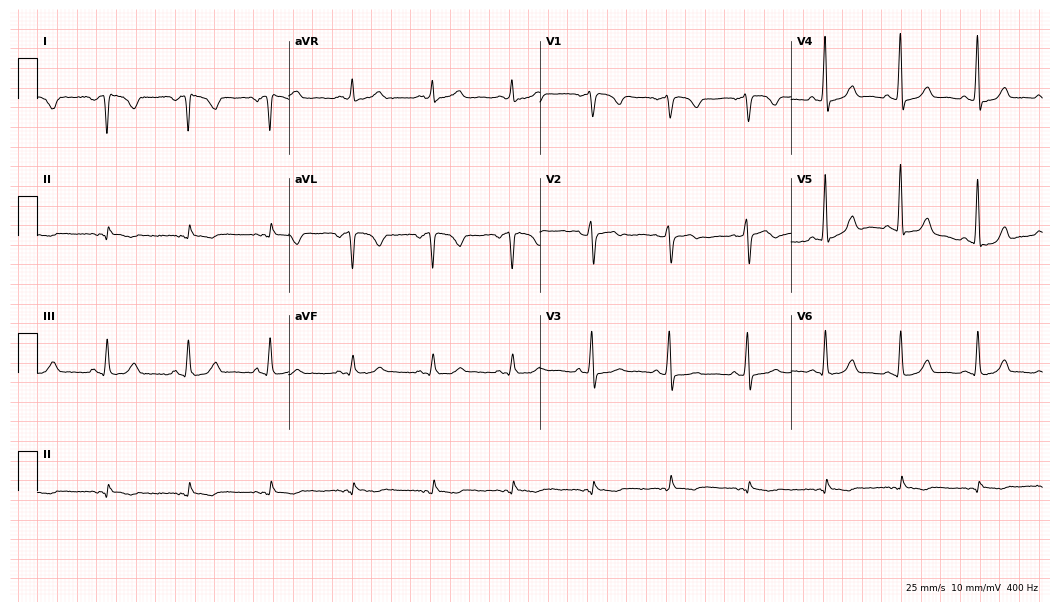
Electrocardiogram, a female patient, 58 years old. Overall reading on record: normal ECG.